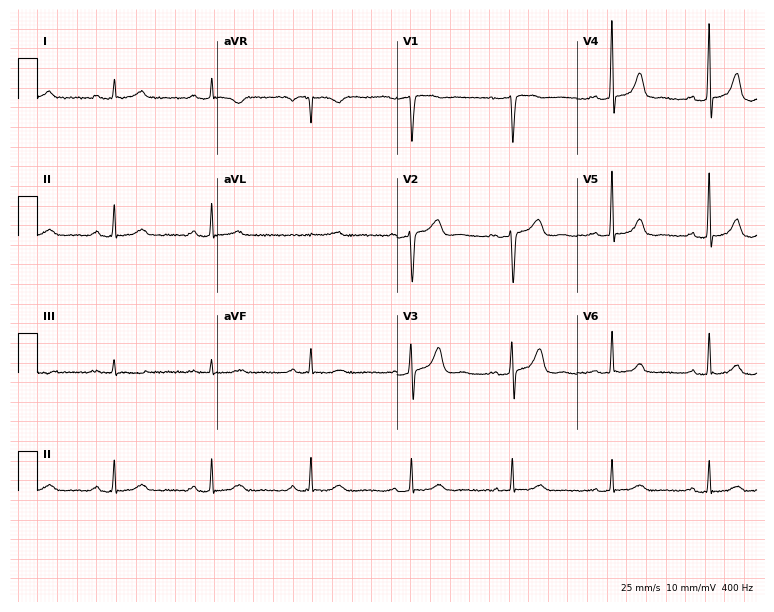
ECG (7.3-second recording at 400 Hz) — a female patient, 48 years old. Labelled as a normal ECG.